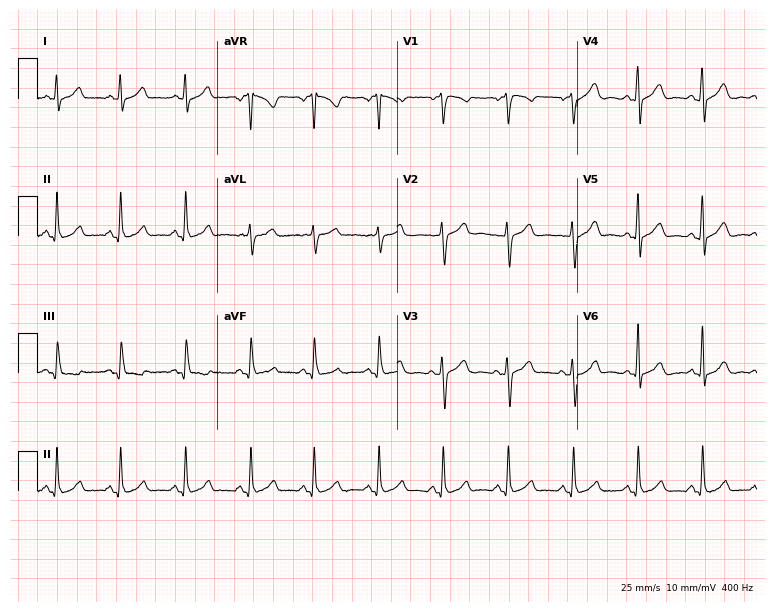
12-lead ECG from a 34-year-old female. Labelled as a normal ECG.